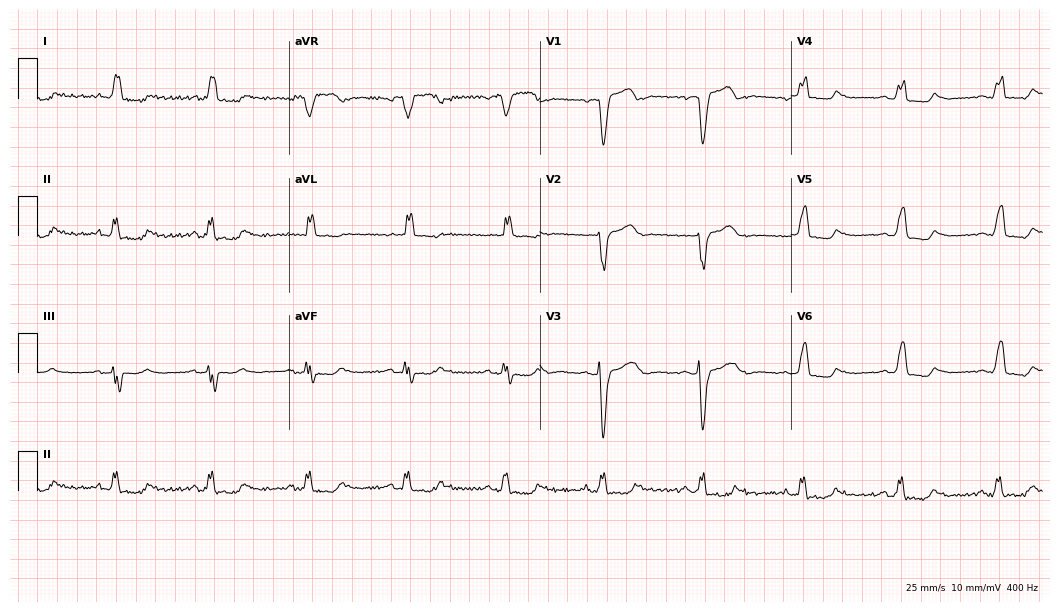
Resting 12-lead electrocardiogram. Patient: a 69-year-old female. The tracing shows left bundle branch block (LBBB).